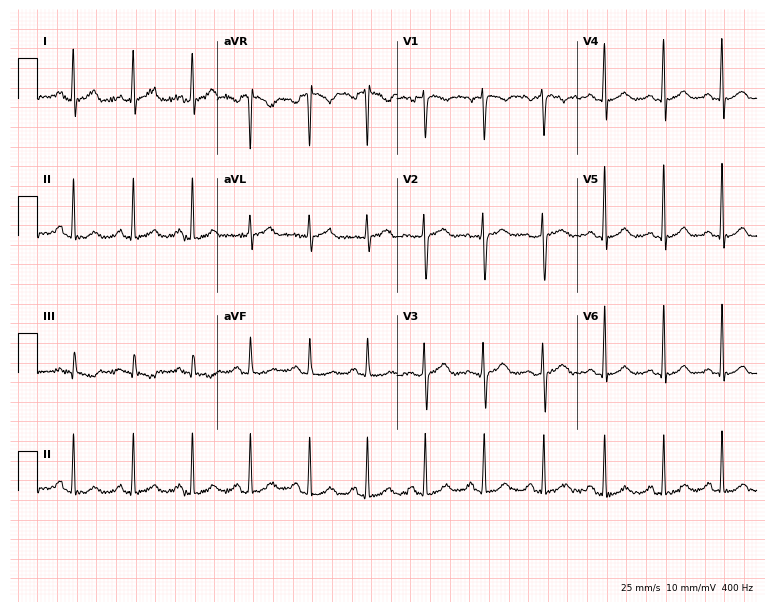
Standard 12-lead ECG recorded from a 35-year-old woman. Read as a normal ECG.